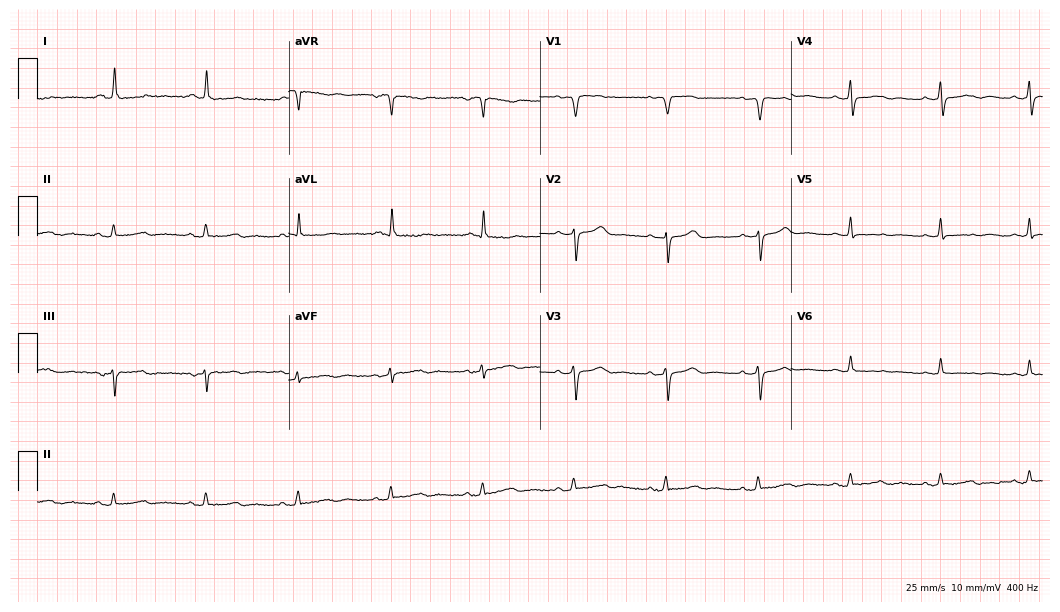
ECG — a female, 64 years old. Screened for six findings — first-degree AV block, right bundle branch block (RBBB), left bundle branch block (LBBB), sinus bradycardia, atrial fibrillation (AF), sinus tachycardia — none is recorded. Only these six findings were labelled.